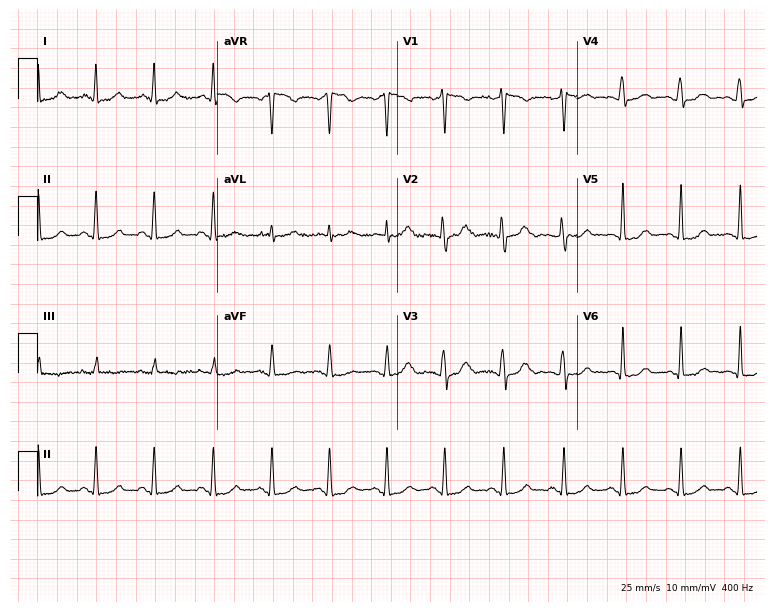
Standard 12-lead ECG recorded from a 34-year-old female. The tracing shows sinus tachycardia (a sinus rate of 100 beats per minute or more).